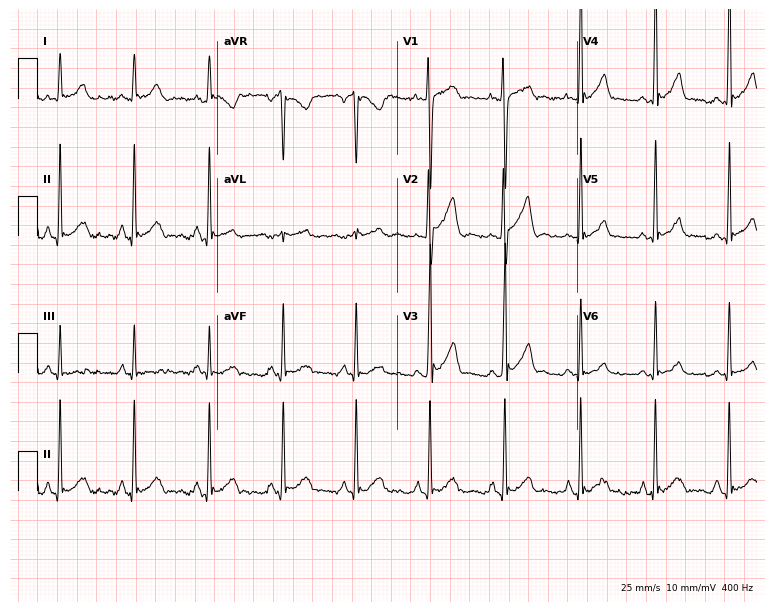
Electrocardiogram (7.3-second recording at 400 Hz), a male, 22 years old. Of the six screened findings (first-degree AV block, right bundle branch block (RBBB), left bundle branch block (LBBB), sinus bradycardia, atrial fibrillation (AF), sinus tachycardia), none is recorded. Only these six findings were labelled.